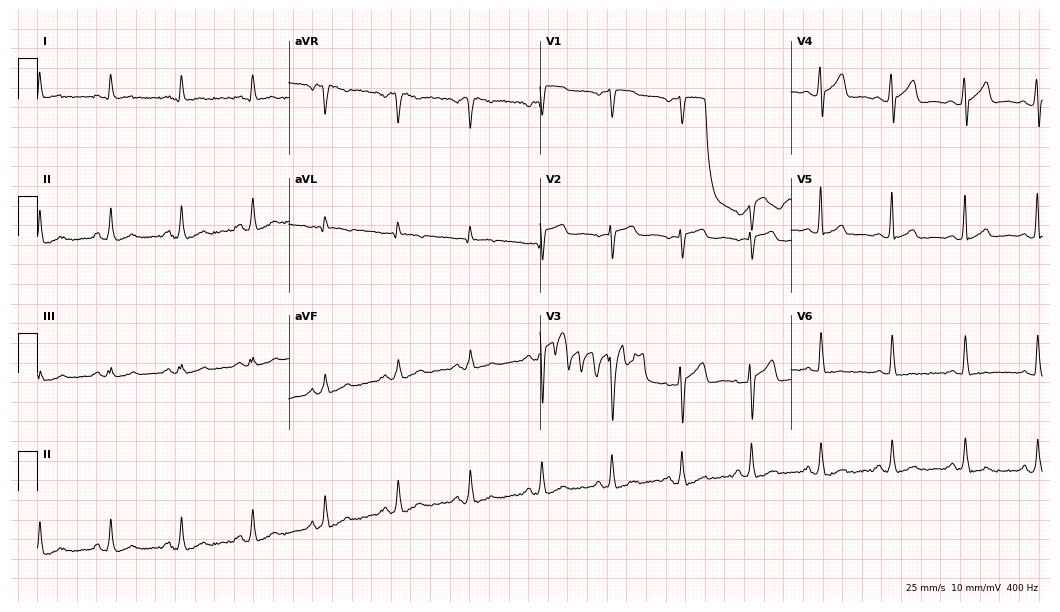
ECG (10.2-second recording at 400 Hz) — a male, 54 years old. Screened for six findings — first-degree AV block, right bundle branch block, left bundle branch block, sinus bradycardia, atrial fibrillation, sinus tachycardia — none is recorded. Findings outside these six are not listed.